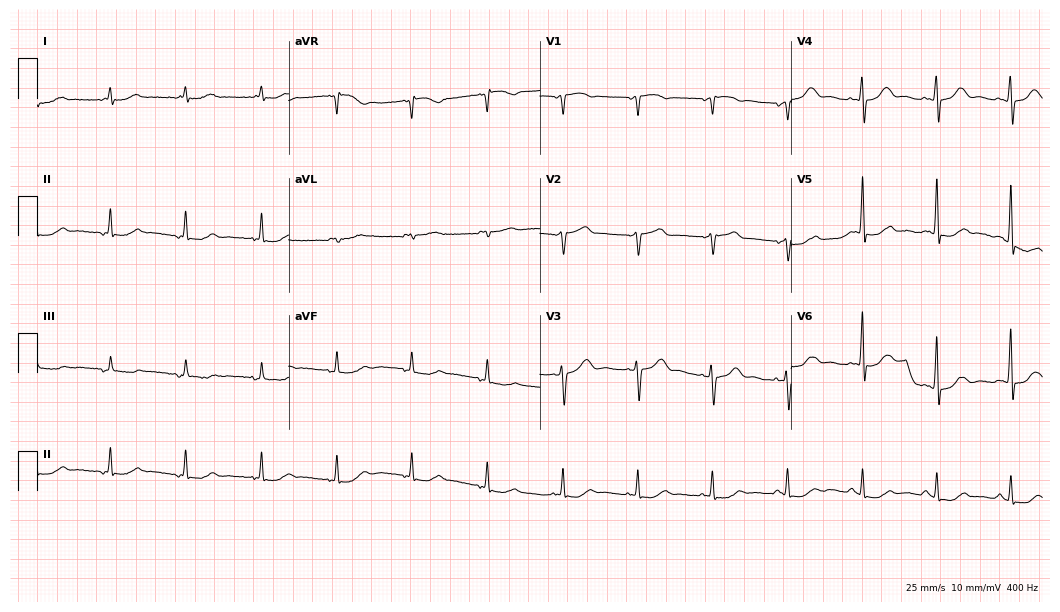
ECG (10.2-second recording at 400 Hz) — a male patient, 69 years old. Screened for six findings — first-degree AV block, right bundle branch block (RBBB), left bundle branch block (LBBB), sinus bradycardia, atrial fibrillation (AF), sinus tachycardia — none is recorded.